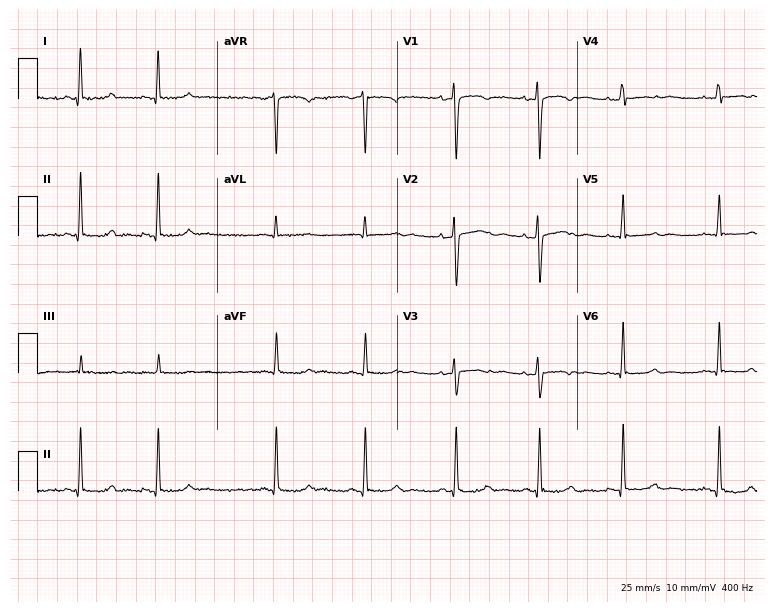
Resting 12-lead electrocardiogram (7.3-second recording at 400 Hz). Patient: a 29-year-old woman. None of these six findings is recorded: first-degree AV block, right bundle branch block, left bundle branch block, sinus bradycardia, atrial fibrillation, sinus tachycardia. Findings outside these six are not listed.